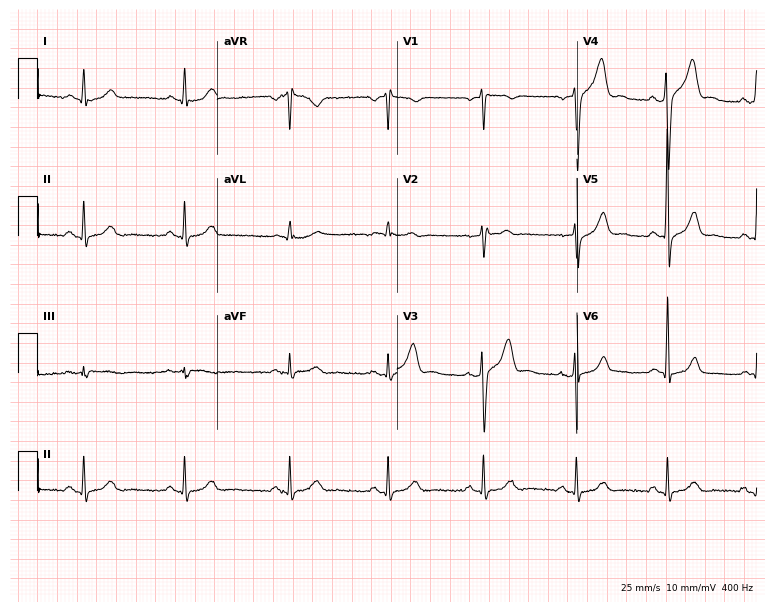
12-lead ECG from a 39-year-old male patient. Labelled as a normal ECG.